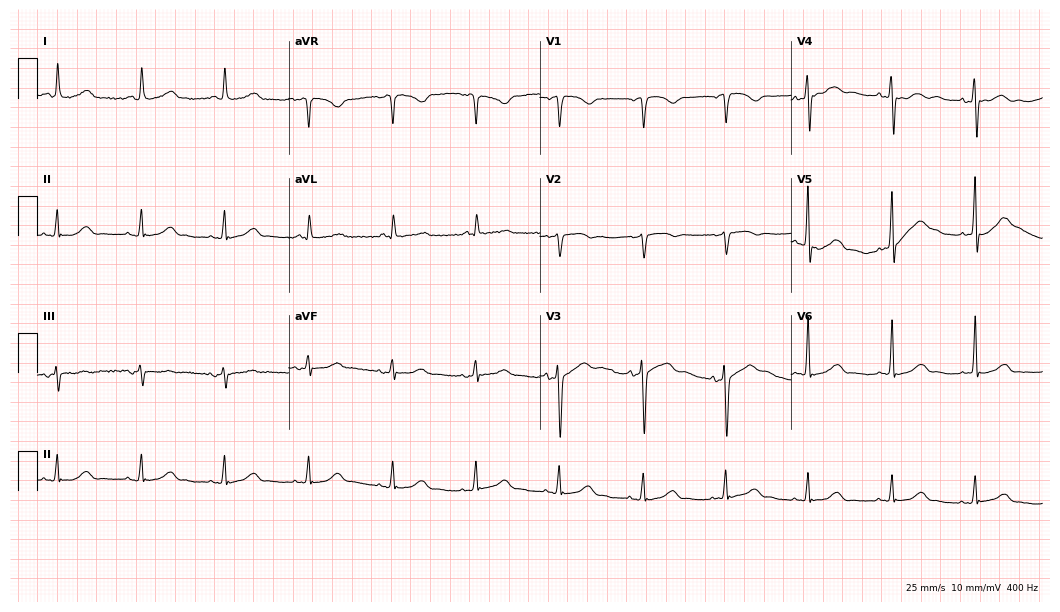
Resting 12-lead electrocardiogram (10.2-second recording at 400 Hz). Patient: a female, 67 years old. Read as a normal ECG.